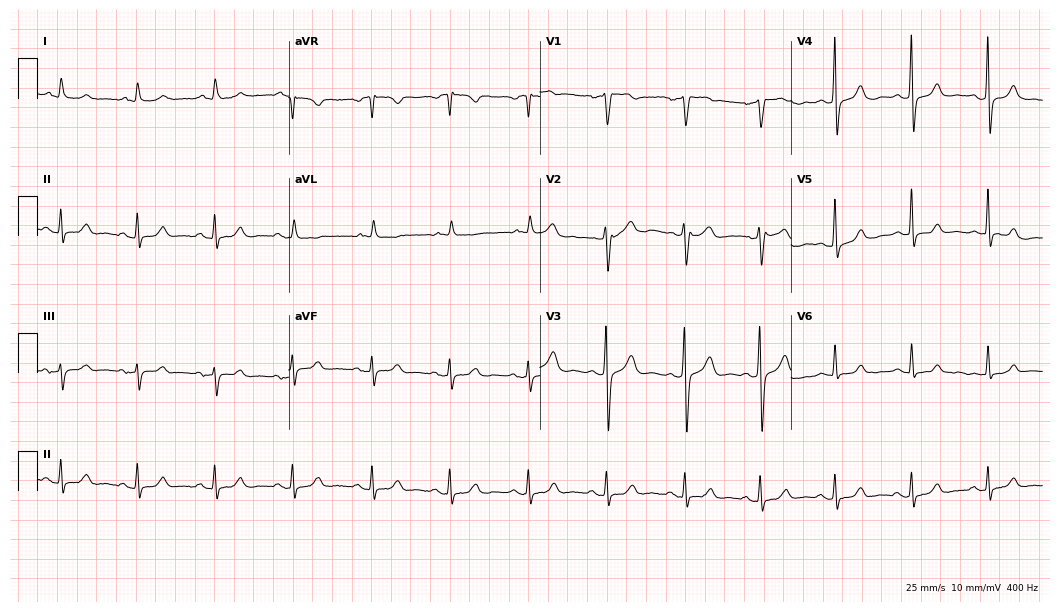
Resting 12-lead electrocardiogram. Patient: a male, 70 years old. None of these six findings is recorded: first-degree AV block, right bundle branch block, left bundle branch block, sinus bradycardia, atrial fibrillation, sinus tachycardia.